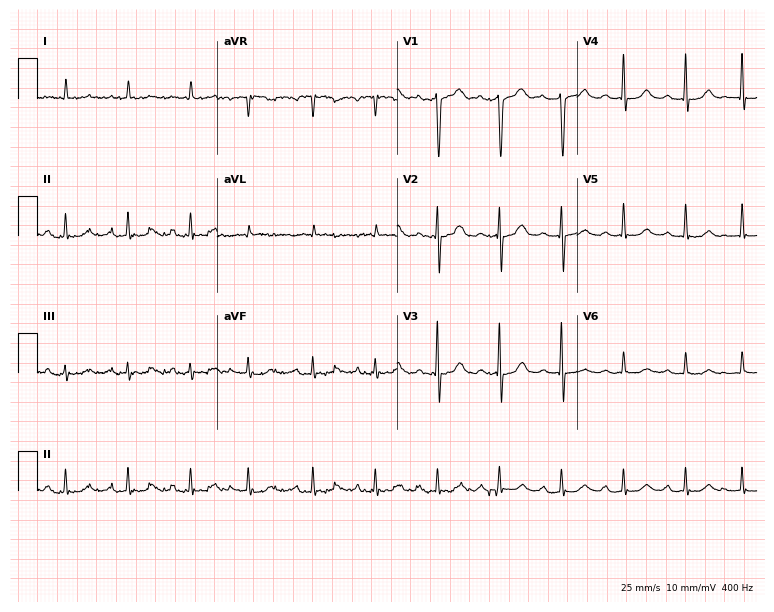
Resting 12-lead electrocardiogram. Patient: a 79-year-old man. Read as a normal ECG.